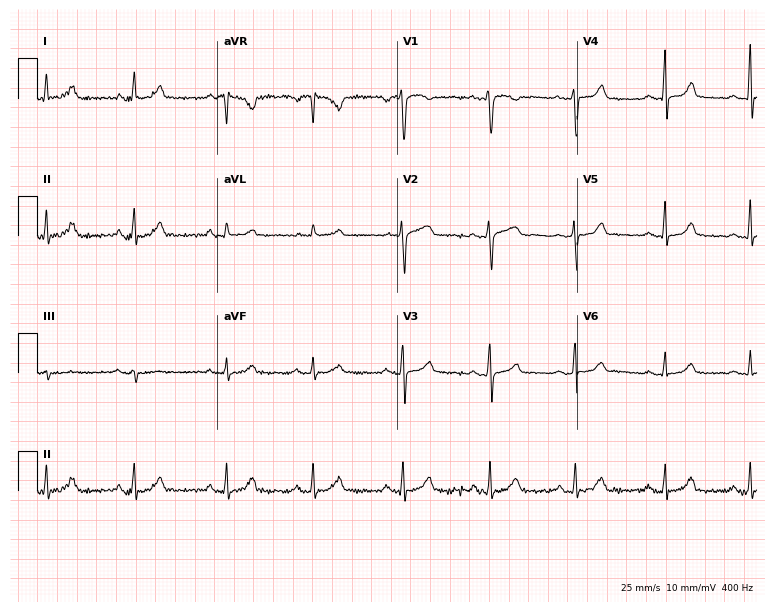
Standard 12-lead ECG recorded from a 36-year-old woman. Read as a normal ECG.